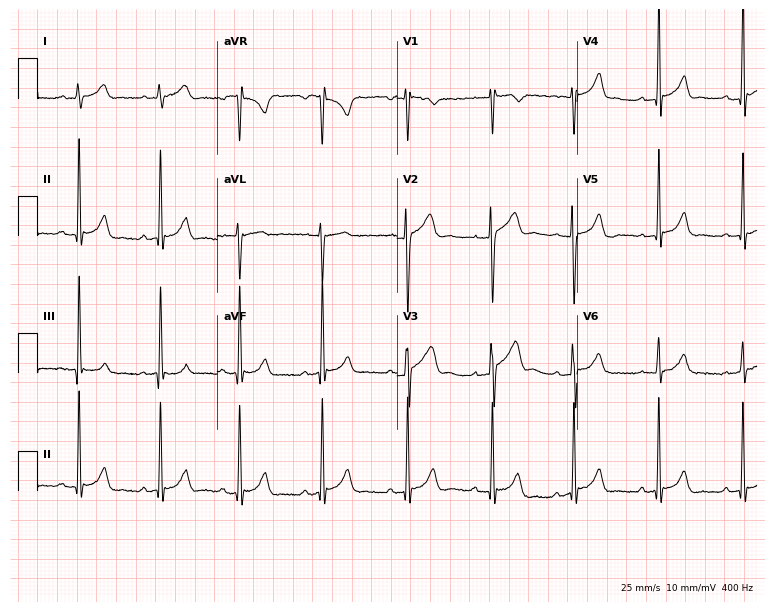
ECG — a 21-year-old man. Labelled as a normal ECG.